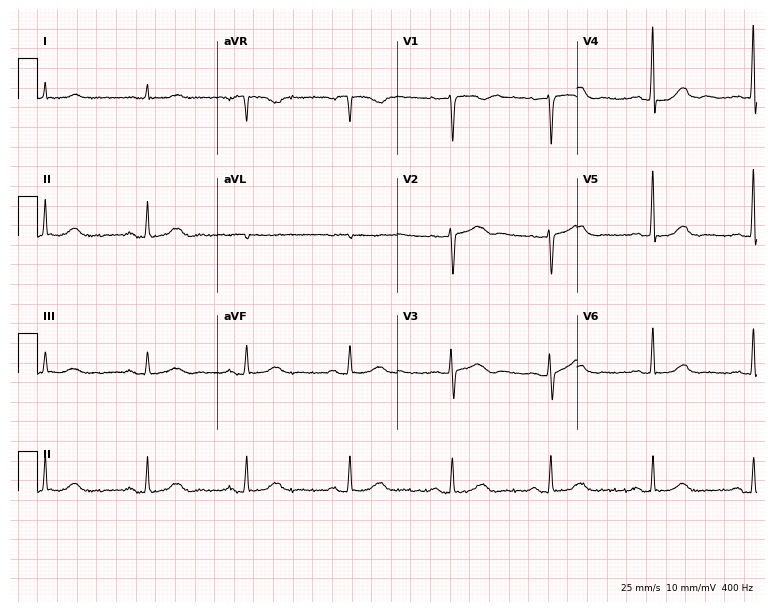
12-lead ECG from a male patient, 53 years old. No first-degree AV block, right bundle branch block, left bundle branch block, sinus bradycardia, atrial fibrillation or sinus tachycardia recorded for this tracing. Other findings, if any, are not listed.